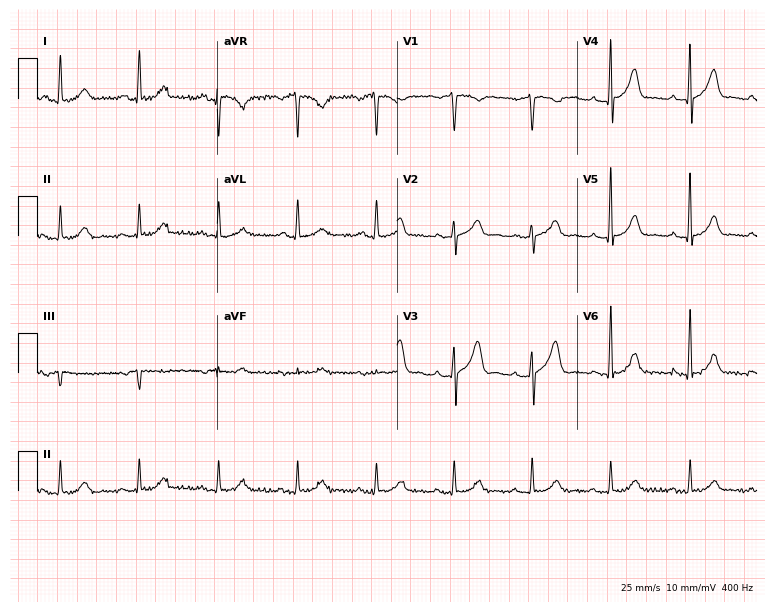
Resting 12-lead electrocardiogram (7.3-second recording at 400 Hz). Patient: a 67-year-old male. Read as a normal ECG.